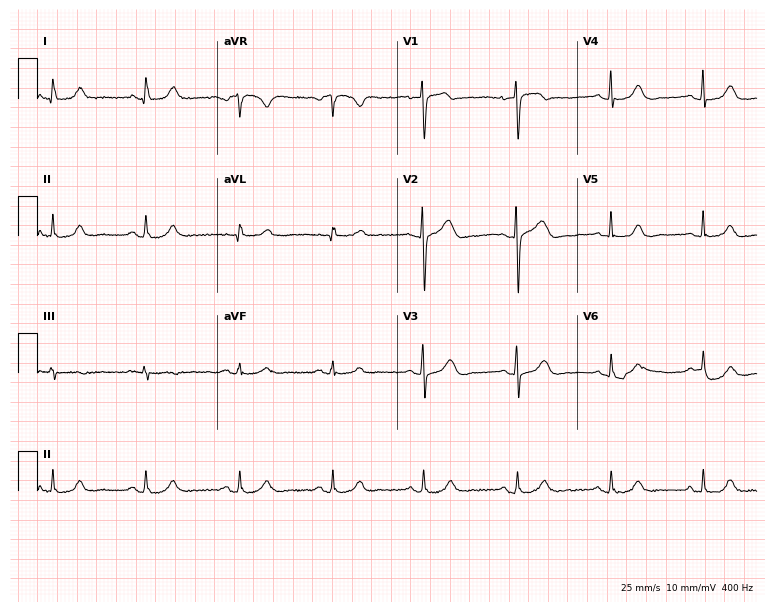
Standard 12-lead ECG recorded from a woman, 52 years old (7.3-second recording at 400 Hz). Read as a normal ECG.